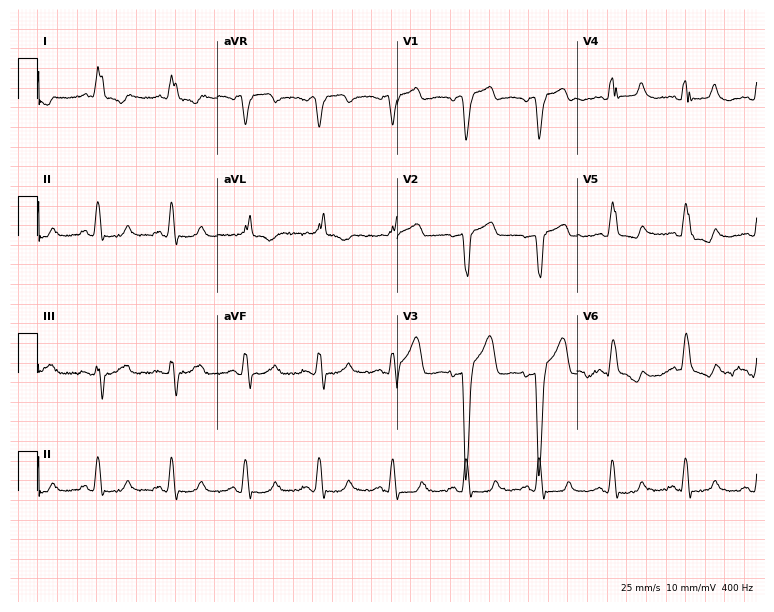
Standard 12-lead ECG recorded from an 85-year-old woman (7.3-second recording at 400 Hz). None of these six findings is recorded: first-degree AV block, right bundle branch block, left bundle branch block, sinus bradycardia, atrial fibrillation, sinus tachycardia. Only these six findings were labelled.